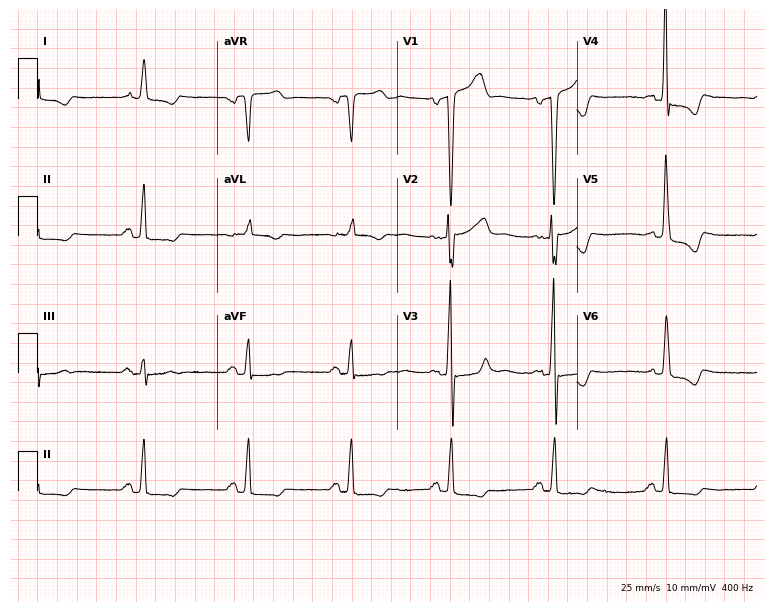
ECG (7.3-second recording at 400 Hz) — a 73-year-old man. Labelled as a normal ECG.